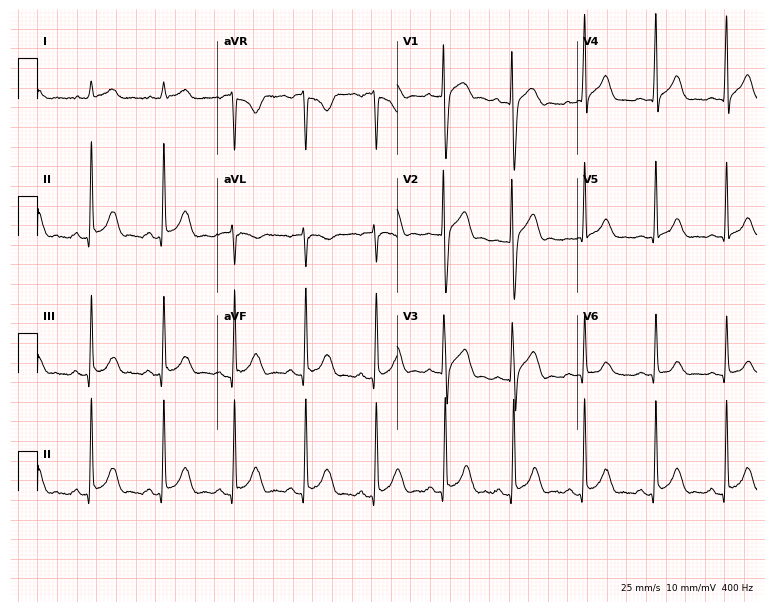
Standard 12-lead ECG recorded from a male, 30 years old (7.3-second recording at 400 Hz). None of these six findings is recorded: first-degree AV block, right bundle branch block (RBBB), left bundle branch block (LBBB), sinus bradycardia, atrial fibrillation (AF), sinus tachycardia.